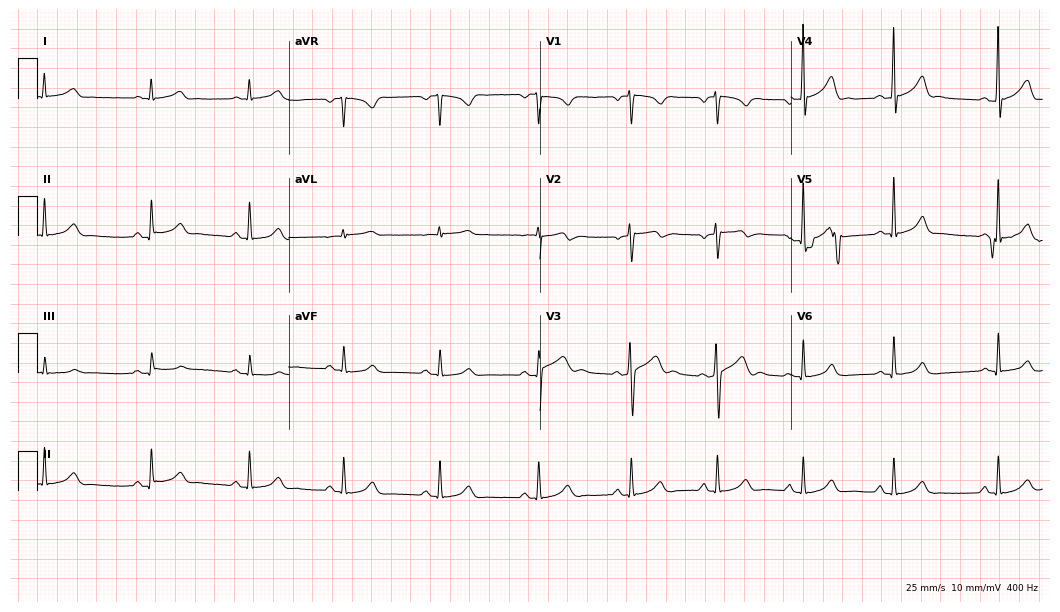
Resting 12-lead electrocardiogram (10.2-second recording at 400 Hz). Patient: a male, 45 years old. Read as a normal ECG.